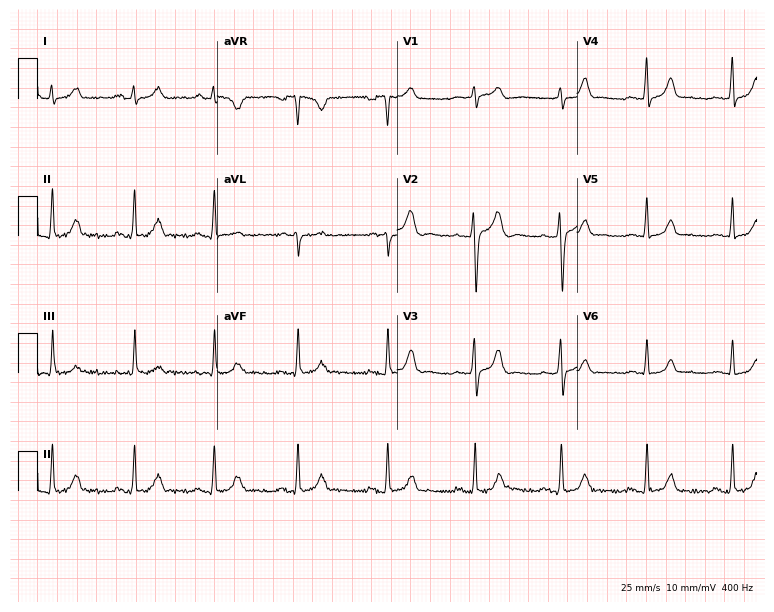
ECG (7.3-second recording at 400 Hz) — a female, 24 years old. Labelled as a normal ECG.